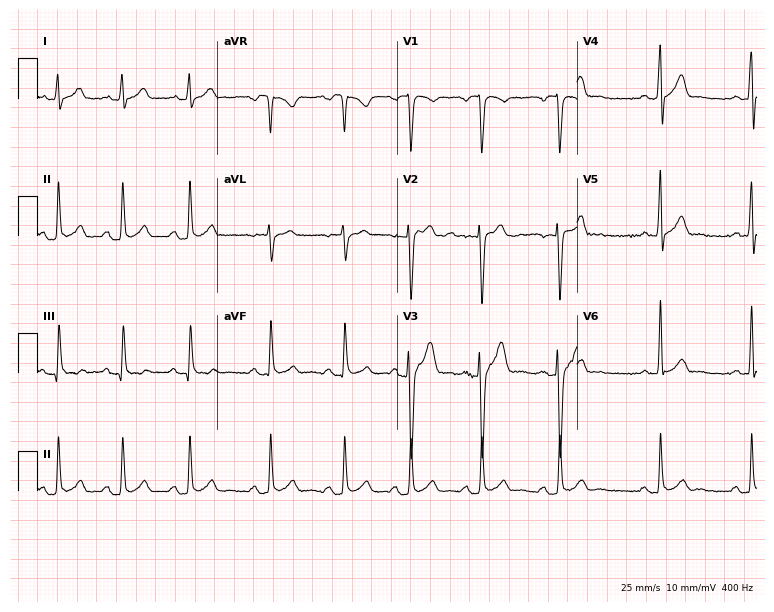
12-lead ECG from a male, 20 years old. No first-degree AV block, right bundle branch block, left bundle branch block, sinus bradycardia, atrial fibrillation or sinus tachycardia recorded for this tracing.